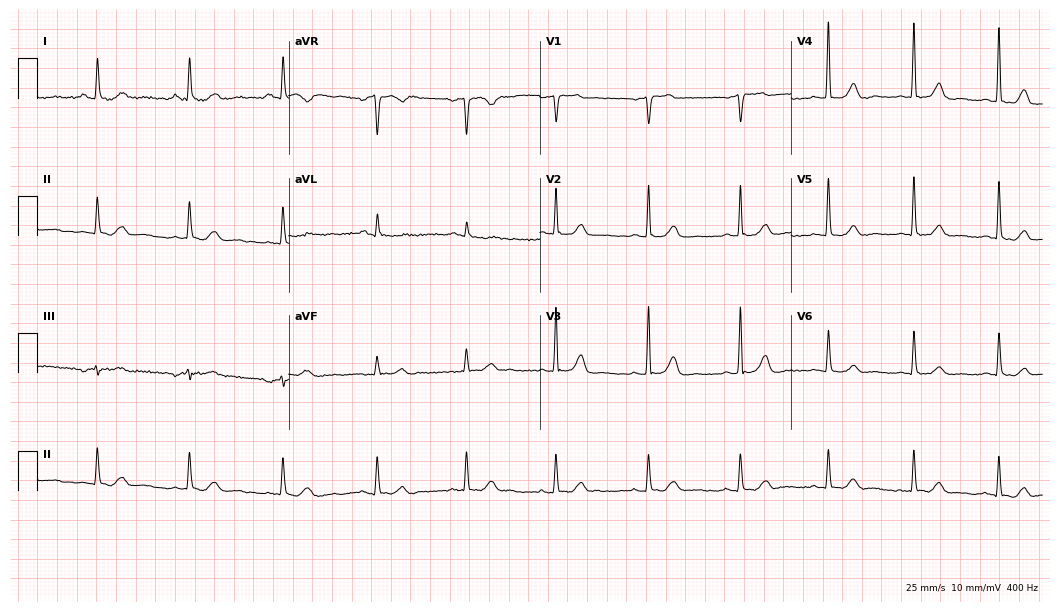
Standard 12-lead ECG recorded from a 67-year-old female (10.2-second recording at 400 Hz). Read as a normal ECG.